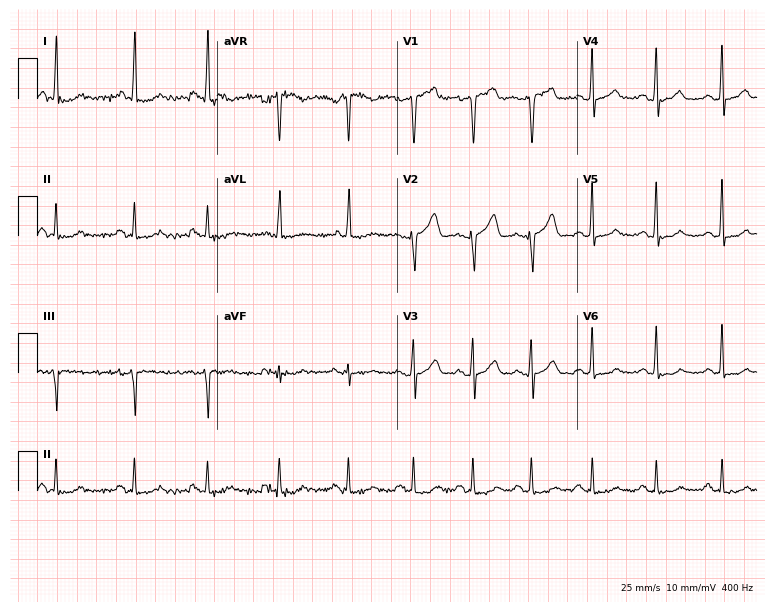
12-lead ECG (7.3-second recording at 400 Hz) from a 43-year-old man. Labelled as a normal ECG.